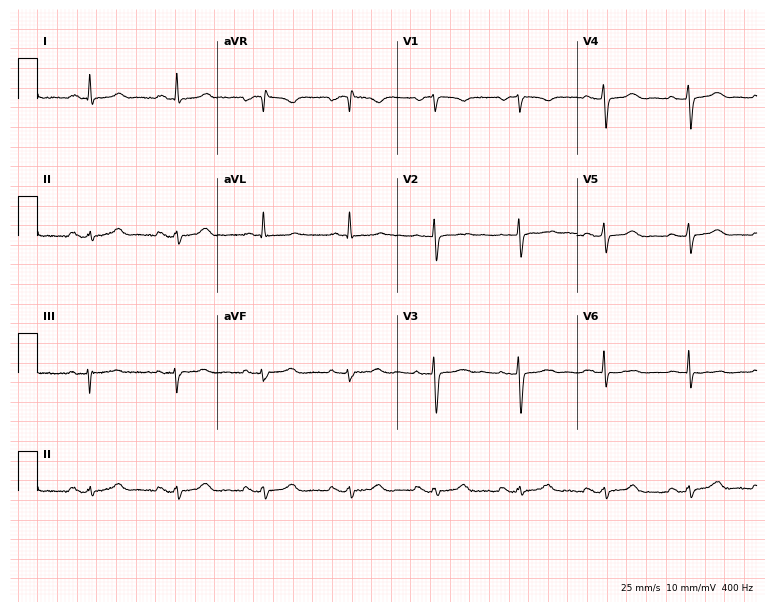
12-lead ECG from a 65-year-old female (7.3-second recording at 400 Hz). Recorded interpretation: within normal limits.